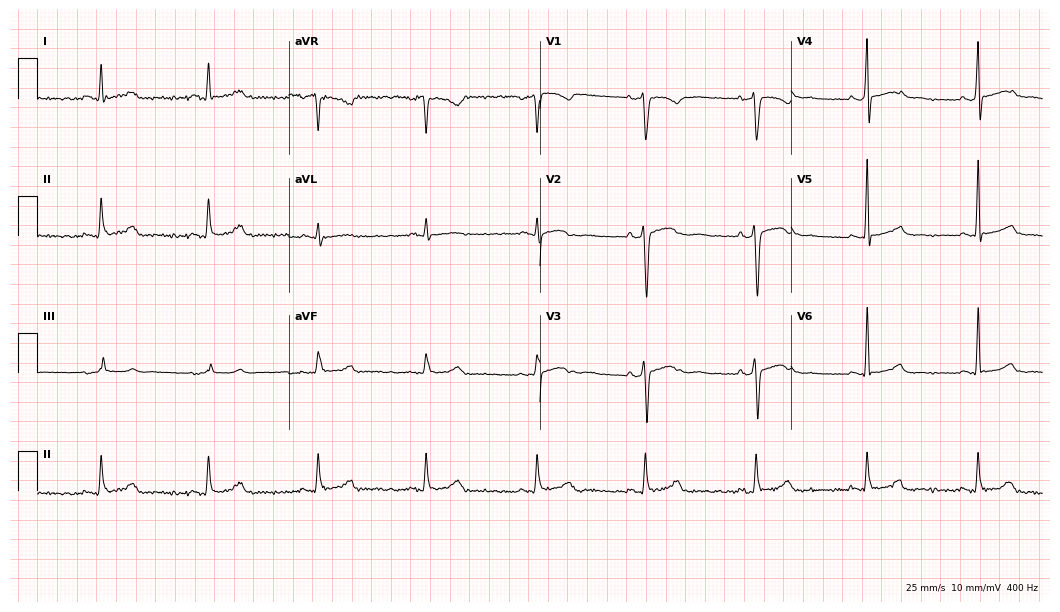
12-lead ECG from a 48-year-old male patient. Labelled as a normal ECG.